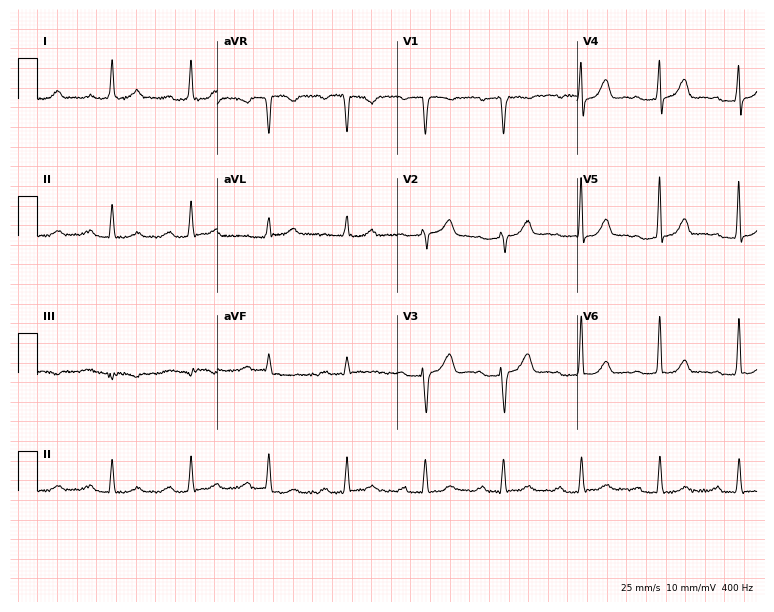
12-lead ECG (7.3-second recording at 400 Hz) from a 57-year-old woman. Findings include first-degree AV block.